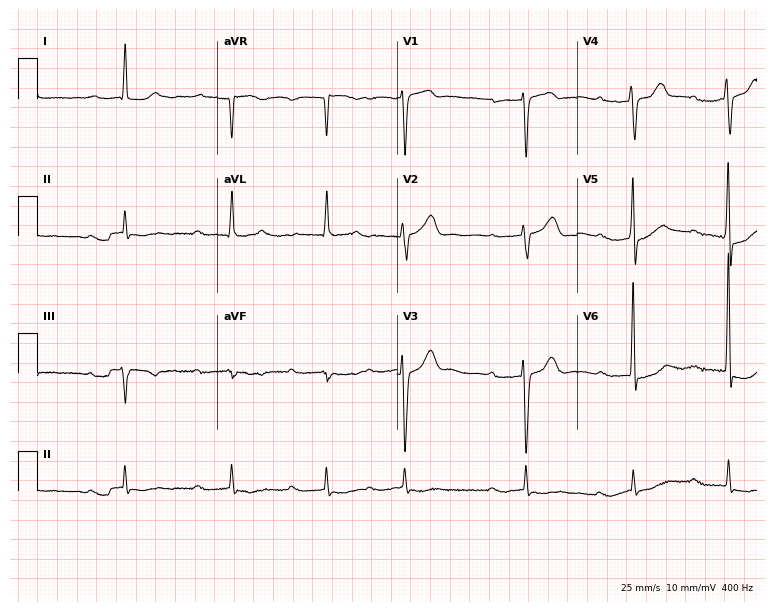
Resting 12-lead electrocardiogram. Patient: an 84-year-old man. None of these six findings is recorded: first-degree AV block, right bundle branch block, left bundle branch block, sinus bradycardia, atrial fibrillation, sinus tachycardia.